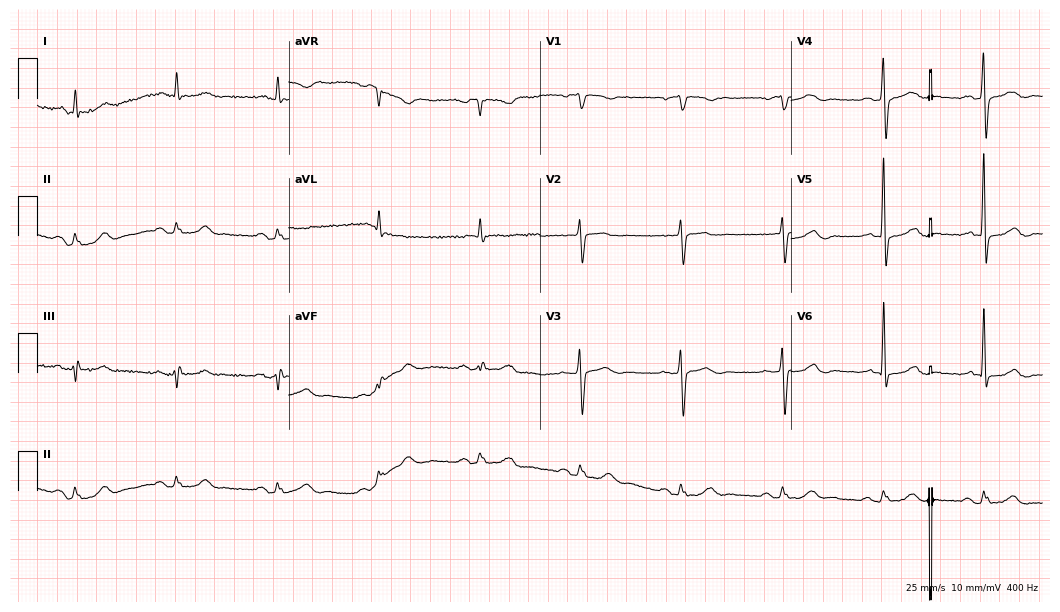
Resting 12-lead electrocardiogram. Patient: a male, 83 years old. None of these six findings is recorded: first-degree AV block, right bundle branch block, left bundle branch block, sinus bradycardia, atrial fibrillation, sinus tachycardia. Only these six findings were labelled.